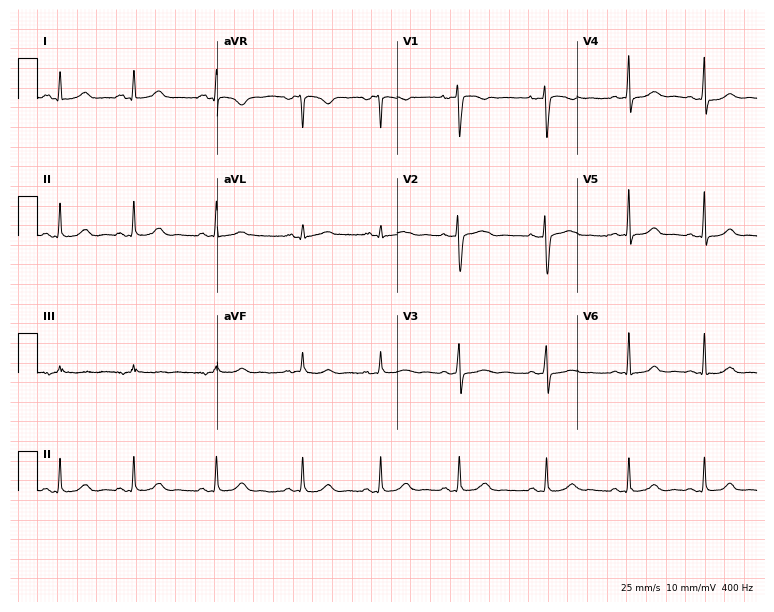
Resting 12-lead electrocardiogram. Patient: a 26-year-old female. None of these six findings is recorded: first-degree AV block, right bundle branch block, left bundle branch block, sinus bradycardia, atrial fibrillation, sinus tachycardia.